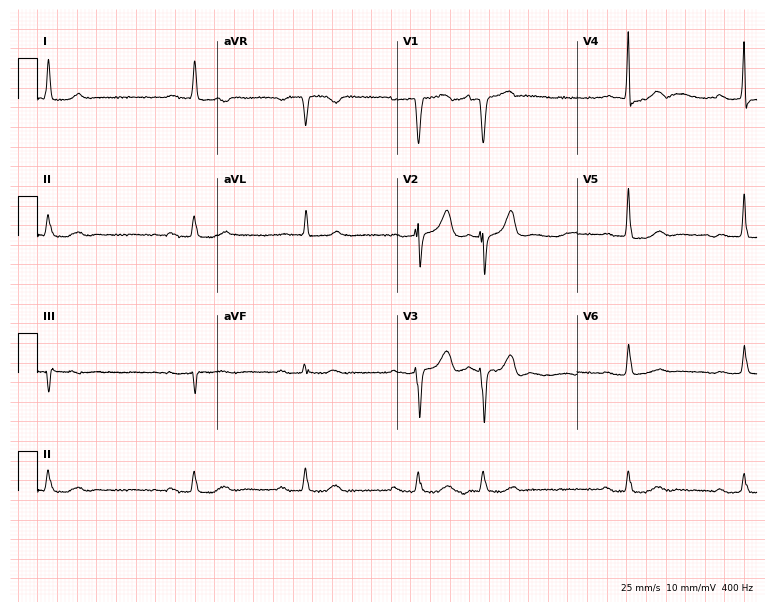
ECG (7.3-second recording at 400 Hz) — a female patient, 84 years old. Findings include first-degree AV block.